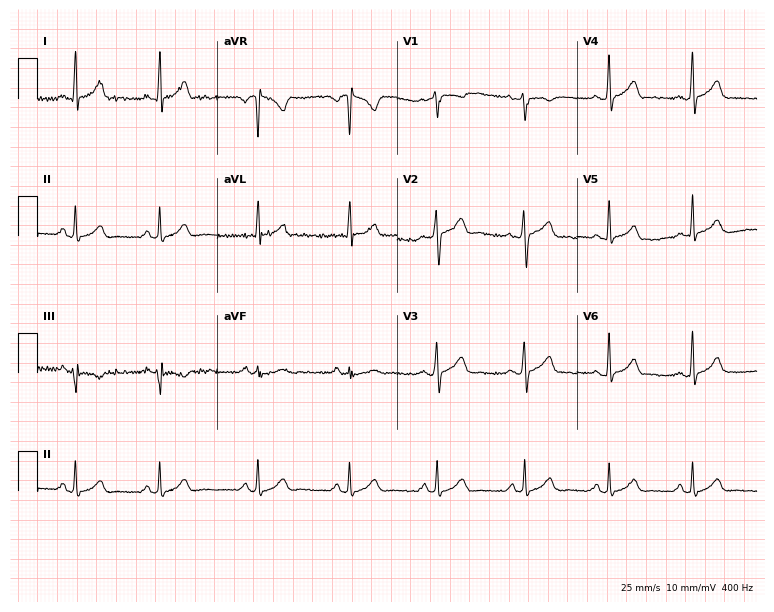
Electrocardiogram (7.3-second recording at 400 Hz), a woman, 26 years old. Overall reading on record: normal ECG.